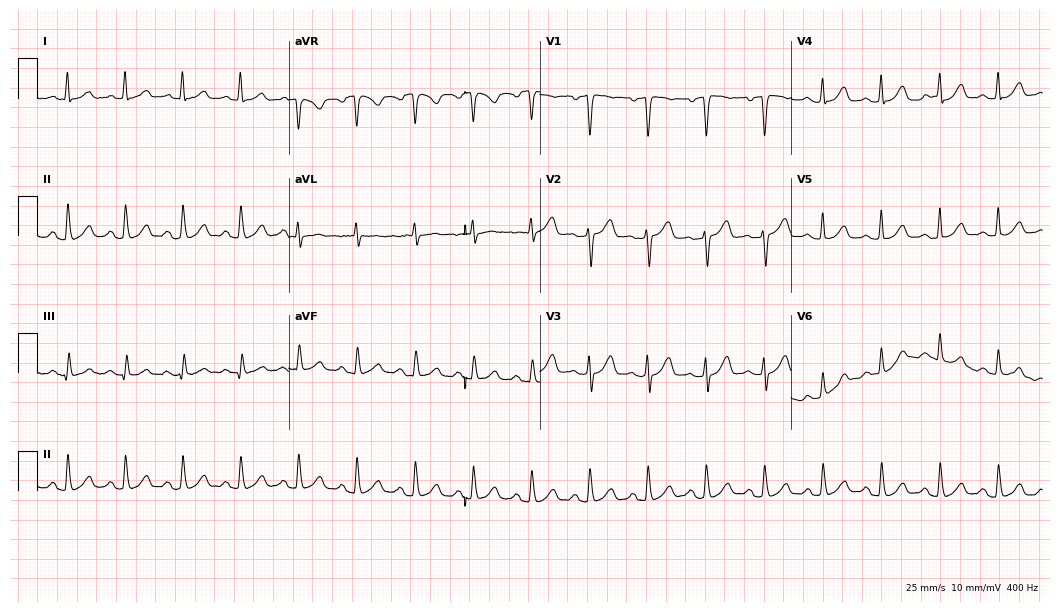
Standard 12-lead ECG recorded from a 63-year-old female. None of these six findings is recorded: first-degree AV block, right bundle branch block (RBBB), left bundle branch block (LBBB), sinus bradycardia, atrial fibrillation (AF), sinus tachycardia.